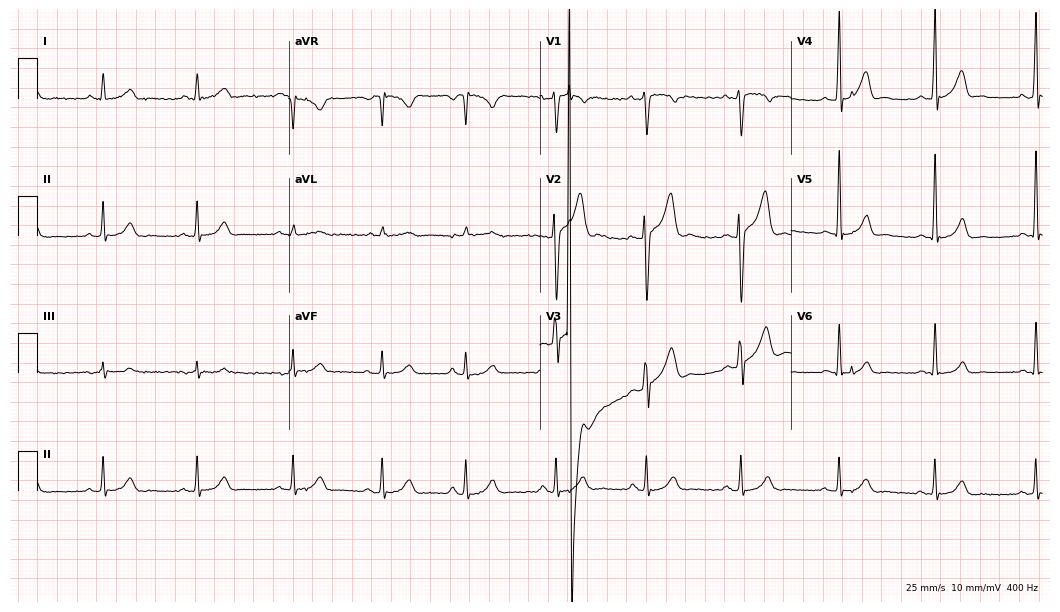
Standard 12-lead ECG recorded from a 28-year-old male patient. Read as a normal ECG.